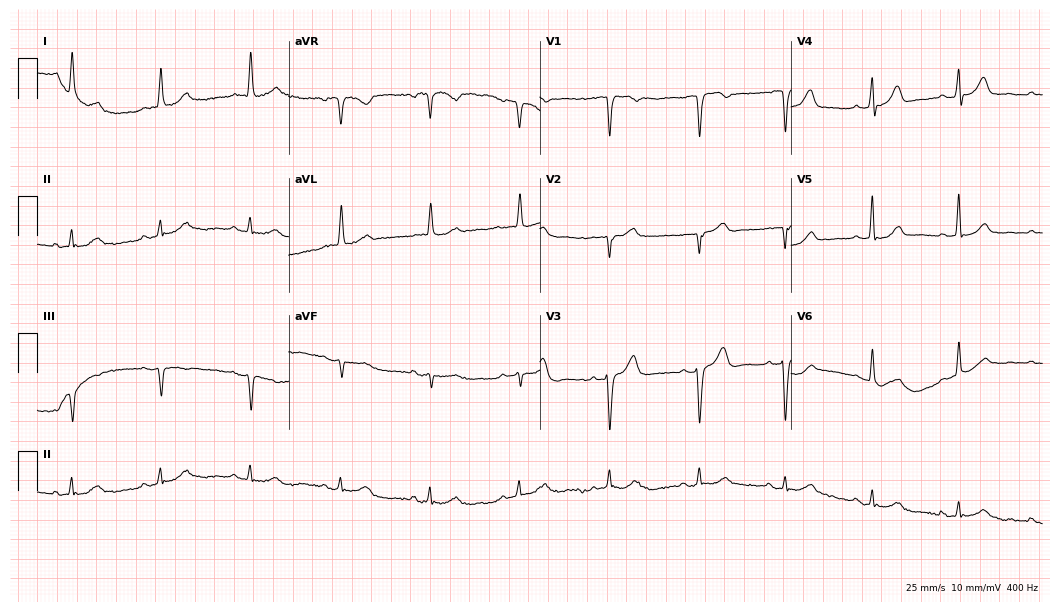
12-lead ECG from an 84-year-old man. Labelled as a normal ECG.